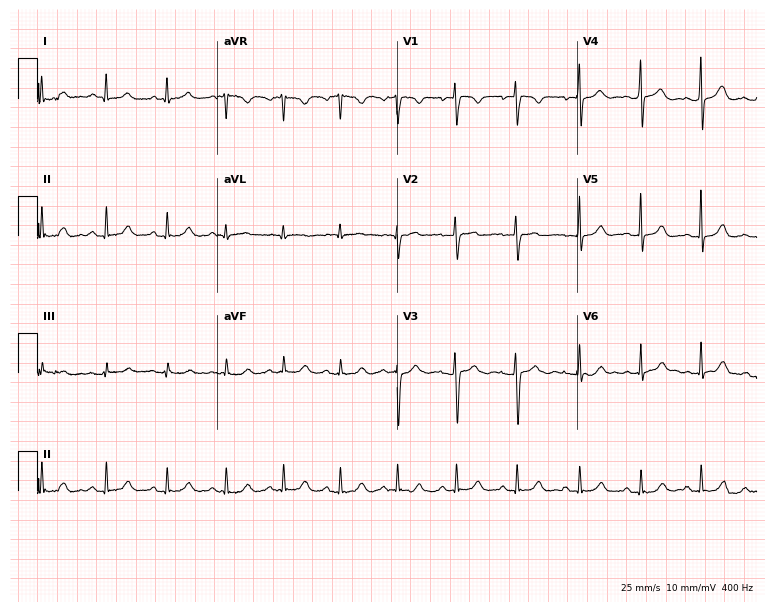
Standard 12-lead ECG recorded from a 24-year-old female (7.3-second recording at 400 Hz). None of these six findings is recorded: first-degree AV block, right bundle branch block, left bundle branch block, sinus bradycardia, atrial fibrillation, sinus tachycardia. Other findings, if any, are not listed.